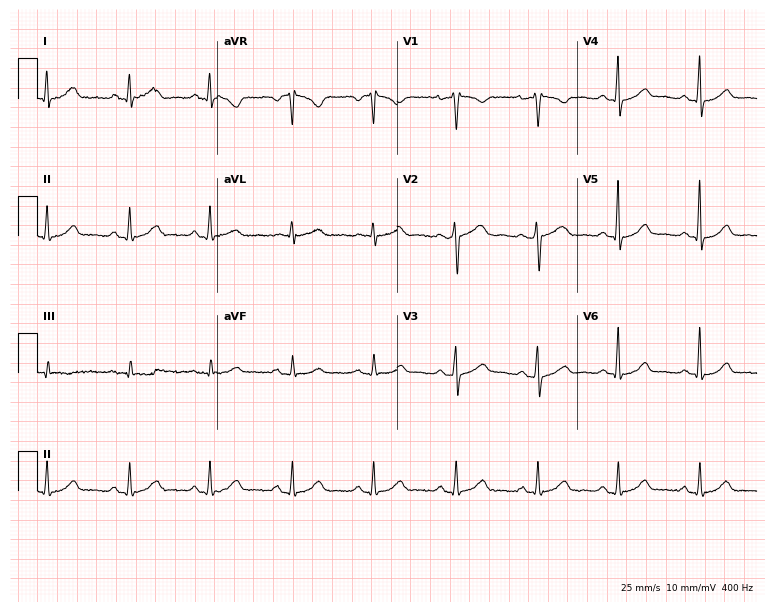
Standard 12-lead ECG recorded from a 41-year-old woman. Read as a normal ECG.